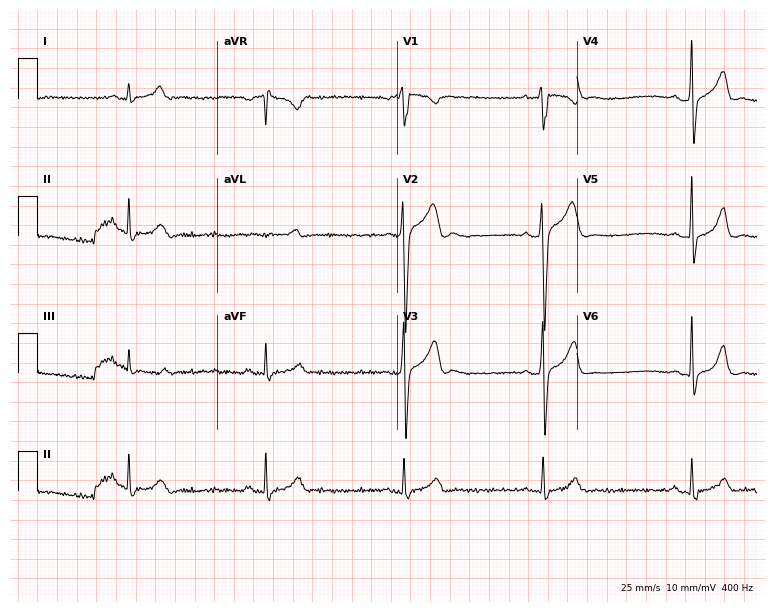
Electrocardiogram (7.3-second recording at 400 Hz), a 28-year-old male. Interpretation includes sinus bradycardia (a sinus rate of 50 beats per minute or less).